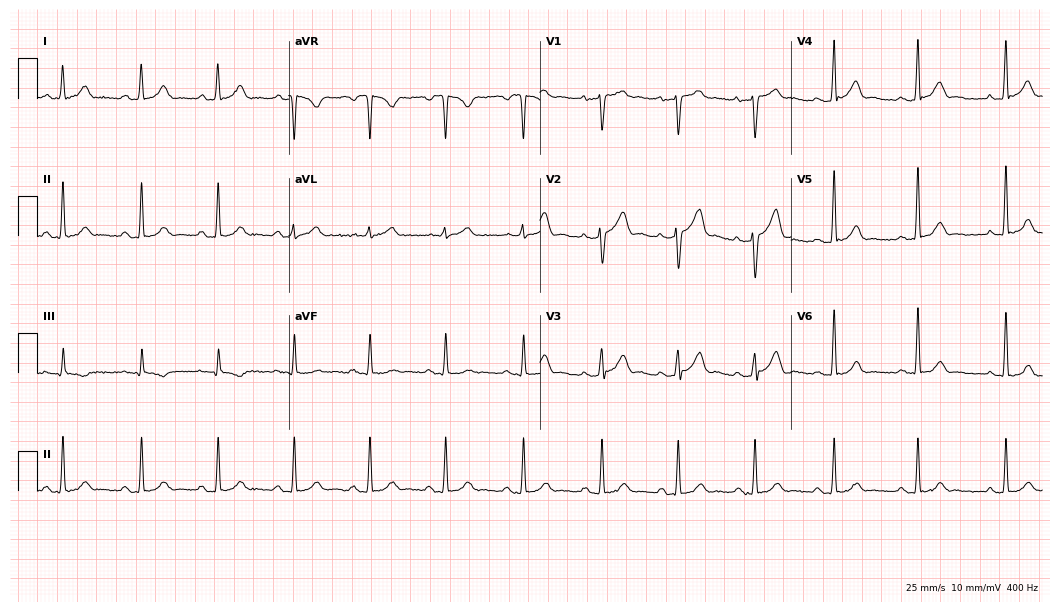
12-lead ECG from a 31-year-old male. Labelled as a normal ECG.